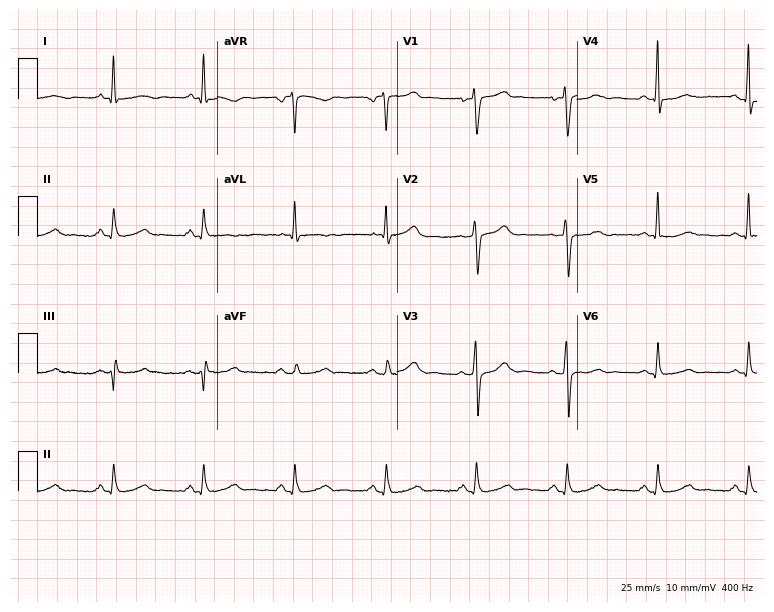
Resting 12-lead electrocardiogram (7.3-second recording at 400 Hz). Patient: a 40-year-old female. Read as a normal ECG.